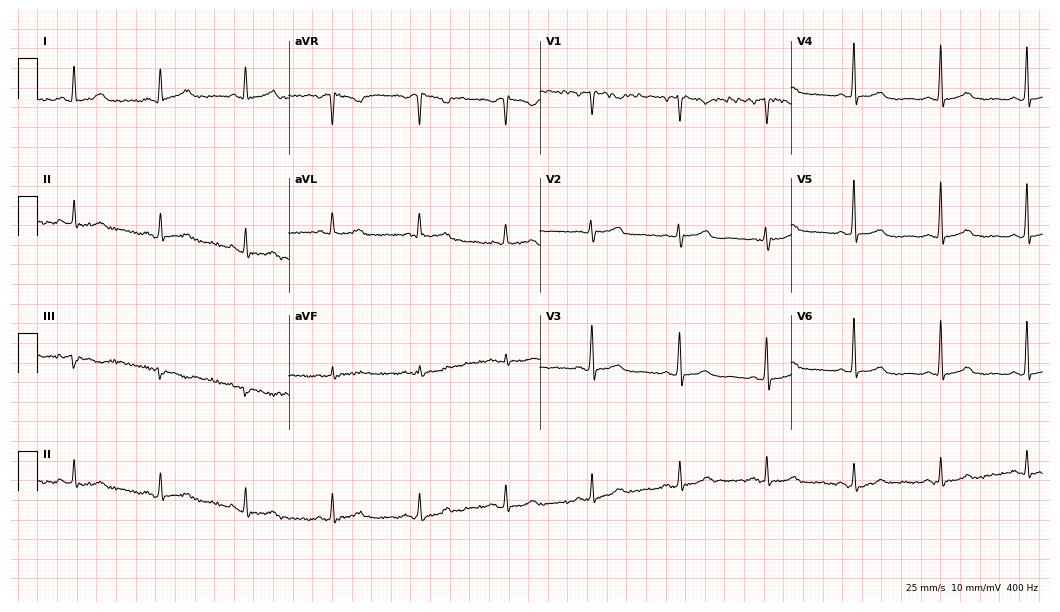
Standard 12-lead ECG recorded from a female, 46 years old (10.2-second recording at 400 Hz). Read as a normal ECG.